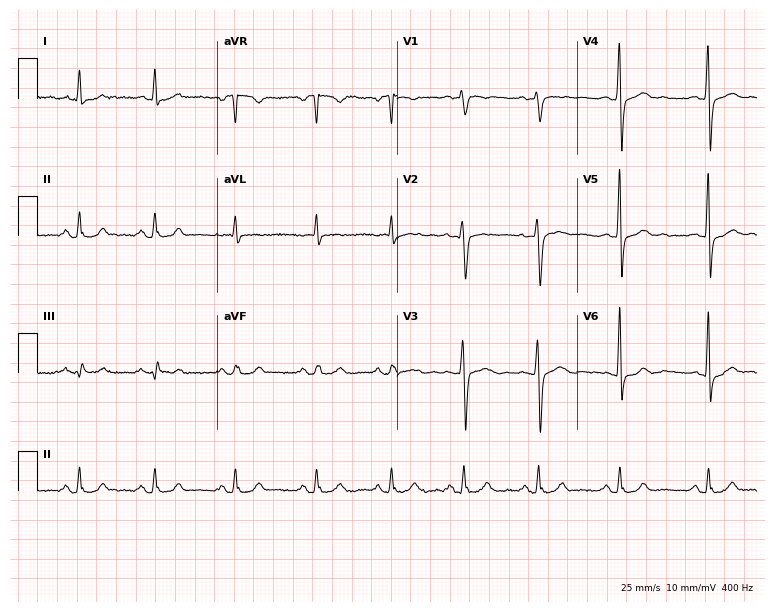
12-lead ECG from a female patient, 61 years old. Labelled as a normal ECG.